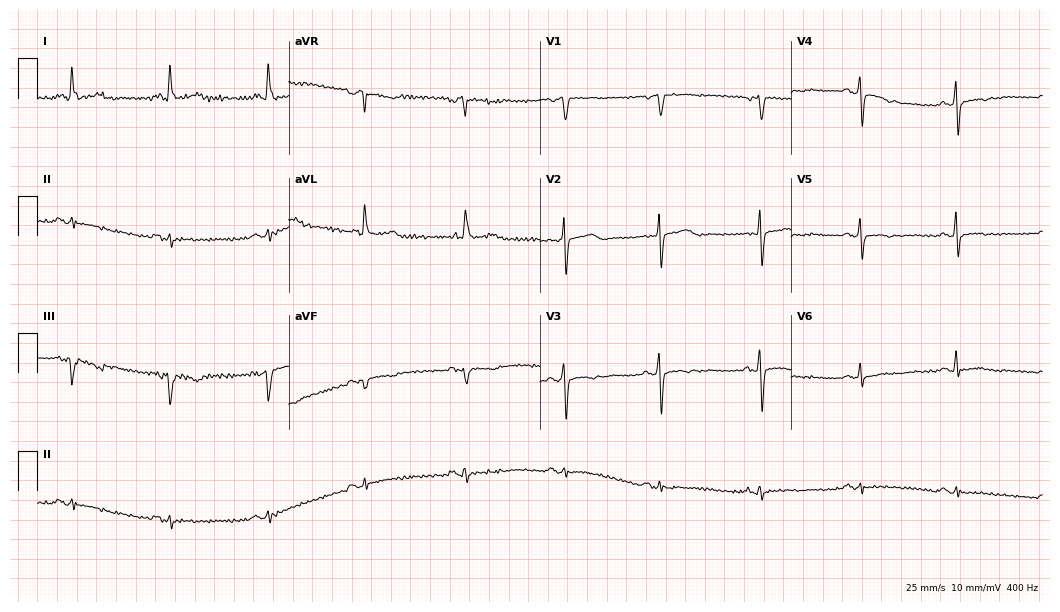
Resting 12-lead electrocardiogram (10.2-second recording at 400 Hz). Patient: a 77-year-old female. None of these six findings is recorded: first-degree AV block, right bundle branch block (RBBB), left bundle branch block (LBBB), sinus bradycardia, atrial fibrillation (AF), sinus tachycardia.